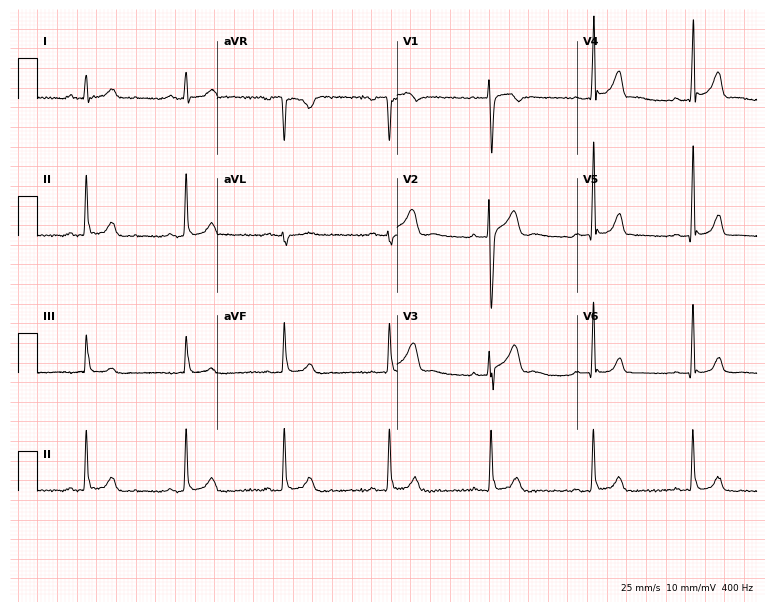
12-lead ECG from a 23-year-old man. No first-degree AV block, right bundle branch block (RBBB), left bundle branch block (LBBB), sinus bradycardia, atrial fibrillation (AF) or sinus tachycardia recorded for this tracing.